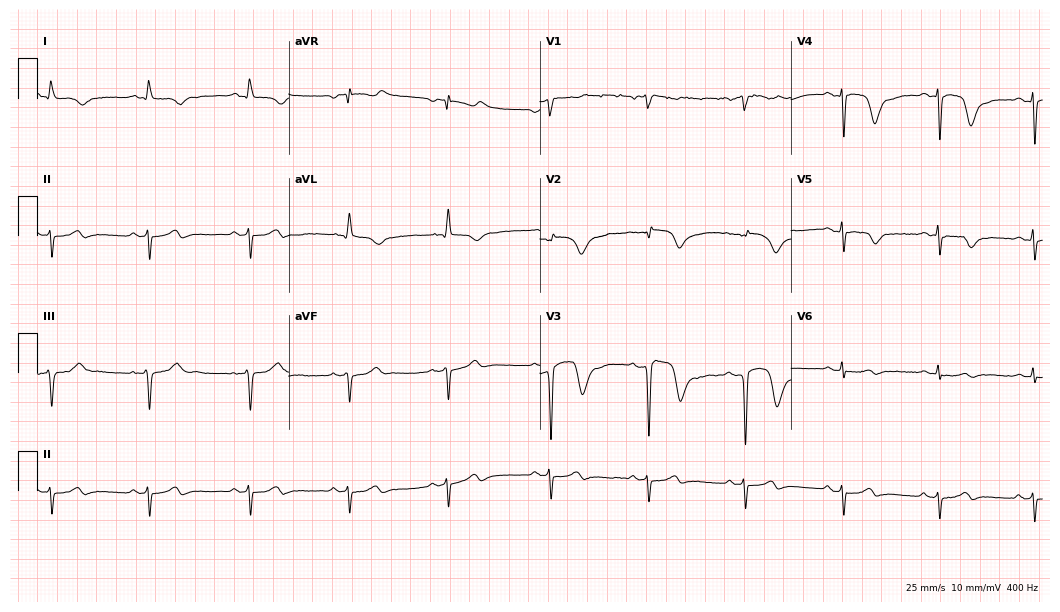
12-lead ECG from a man, 62 years old. Screened for six findings — first-degree AV block, right bundle branch block (RBBB), left bundle branch block (LBBB), sinus bradycardia, atrial fibrillation (AF), sinus tachycardia — none is recorded.